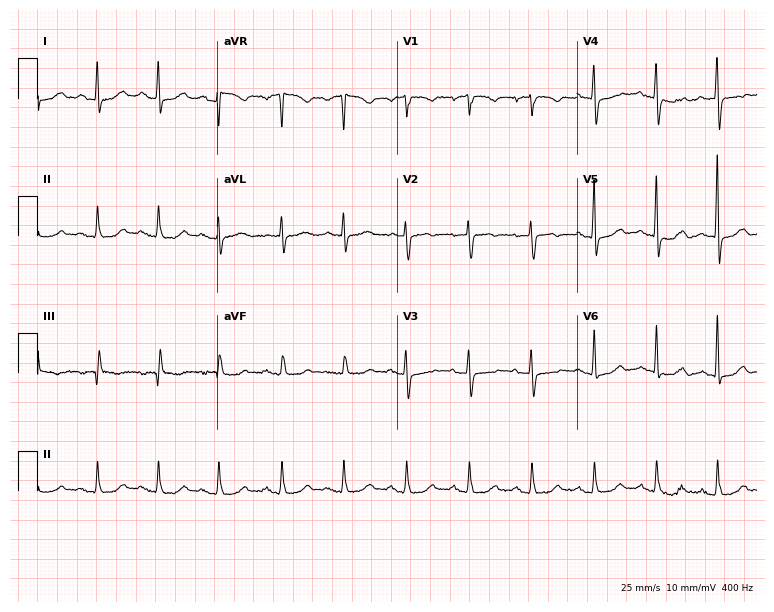
12-lead ECG from a woman, 81 years old. Recorded interpretation: within normal limits.